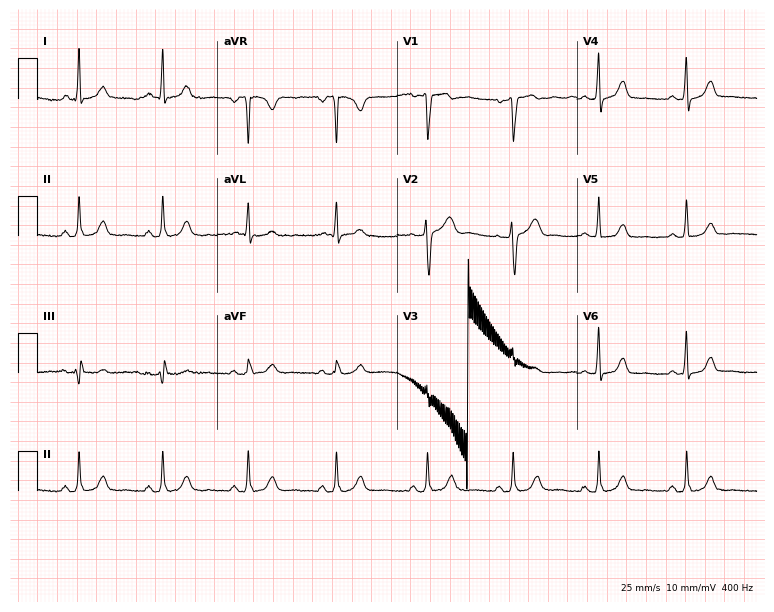
Resting 12-lead electrocardiogram. Patient: a woman, 46 years old. Read as a normal ECG.